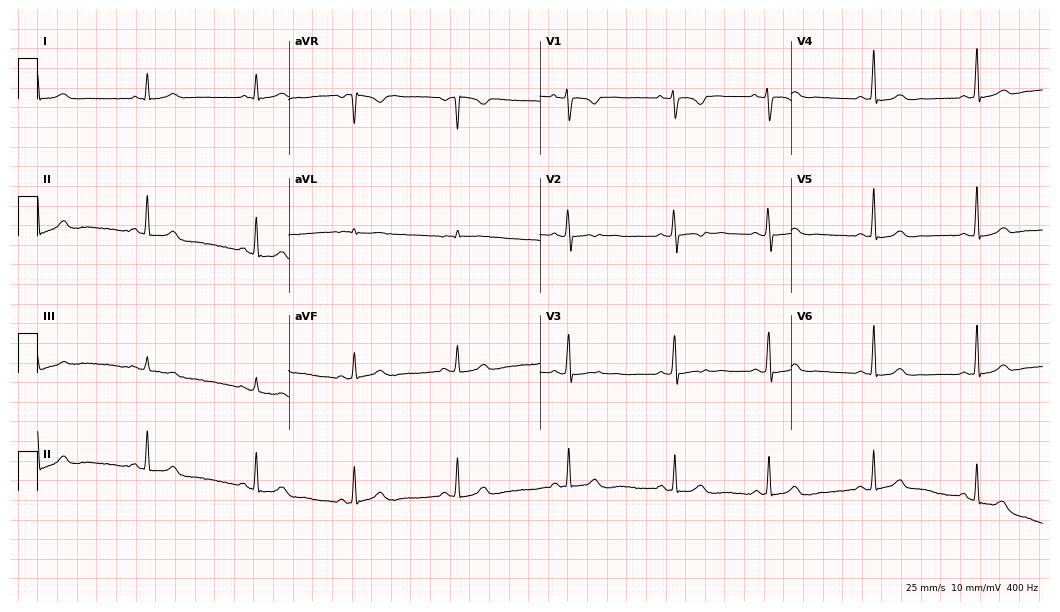
ECG — a 32-year-old female. Screened for six findings — first-degree AV block, right bundle branch block (RBBB), left bundle branch block (LBBB), sinus bradycardia, atrial fibrillation (AF), sinus tachycardia — none is recorded.